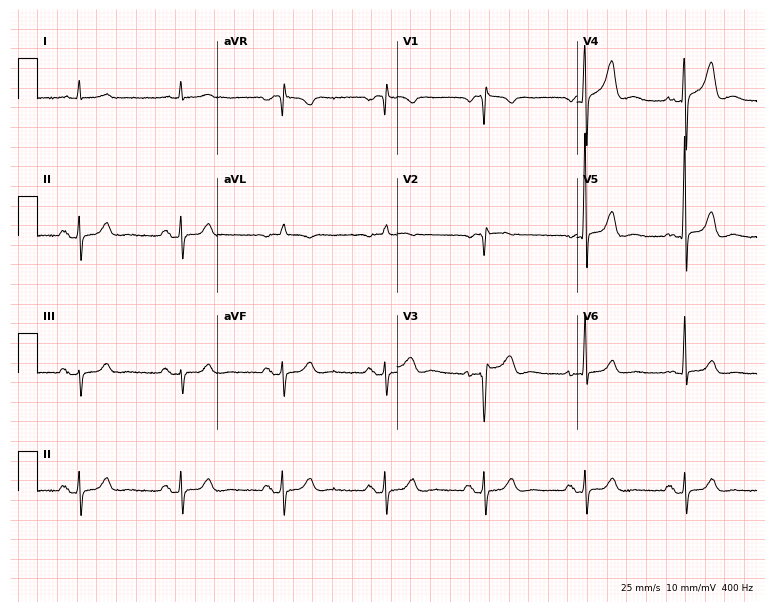
Electrocardiogram (7.3-second recording at 400 Hz), a male, 63 years old. Overall reading on record: normal ECG.